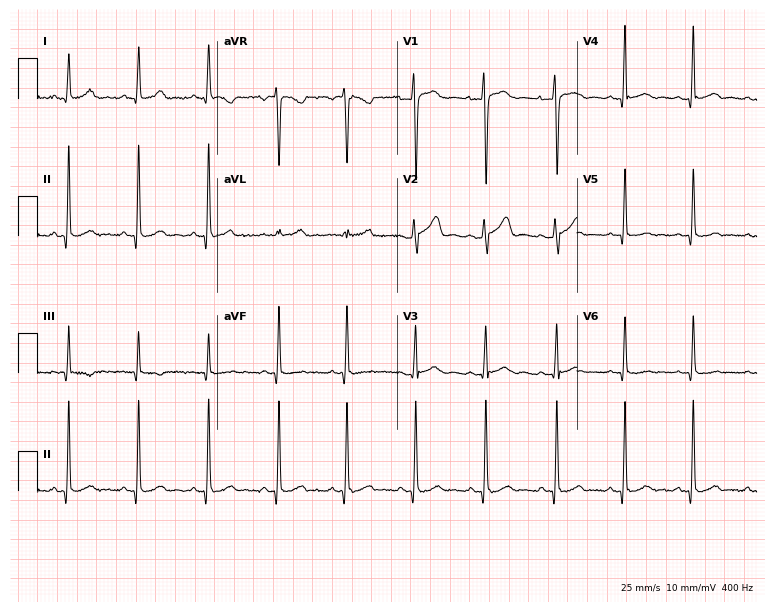
12-lead ECG from a 26-year-old female patient. Labelled as a normal ECG.